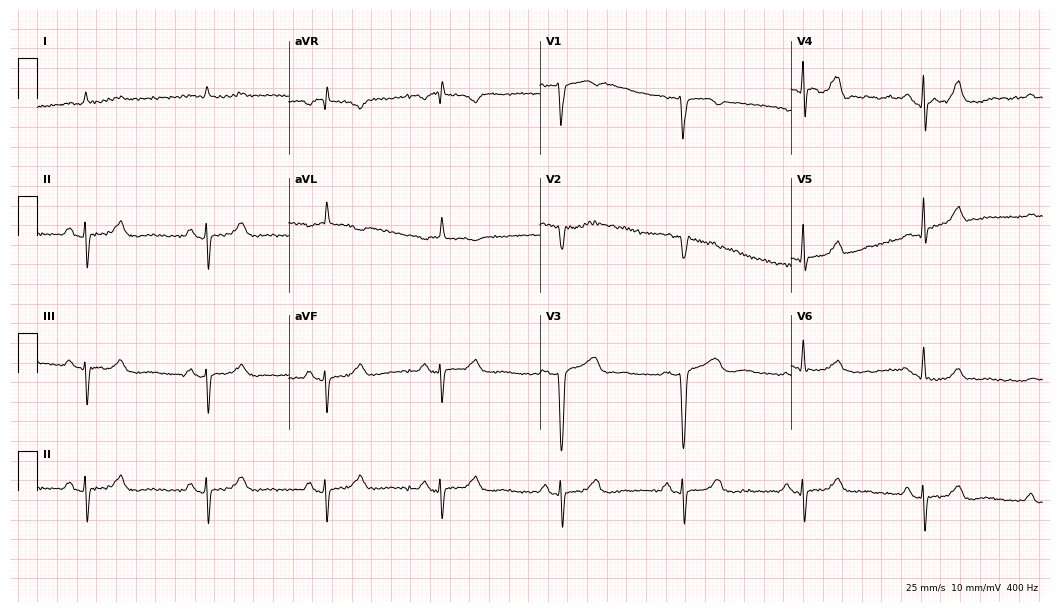
Resting 12-lead electrocardiogram (10.2-second recording at 400 Hz). Patient: an 80-year-old man. None of these six findings is recorded: first-degree AV block, right bundle branch block, left bundle branch block, sinus bradycardia, atrial fibrillation, sinus tachycardia.